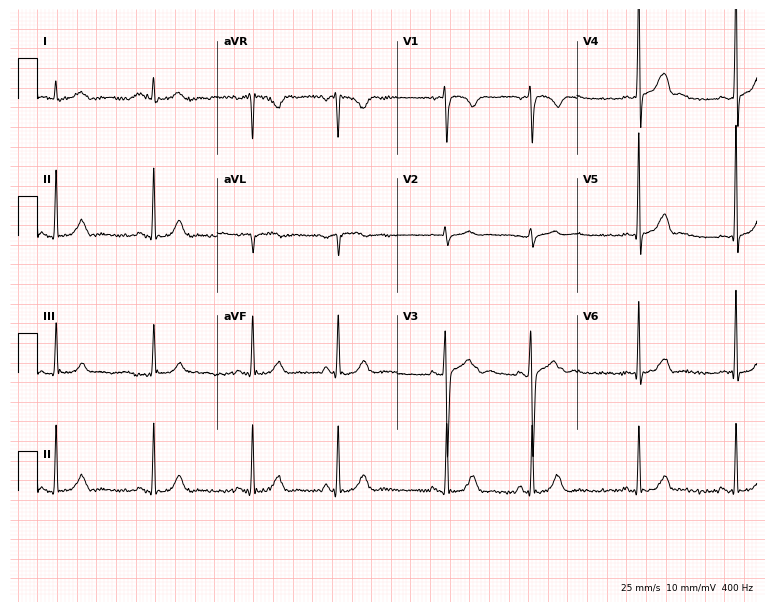
Standard 12-lead ECG recorded from a man, 19 years old (7.3-second recording at 400 Hz). Read as a normal ECG.